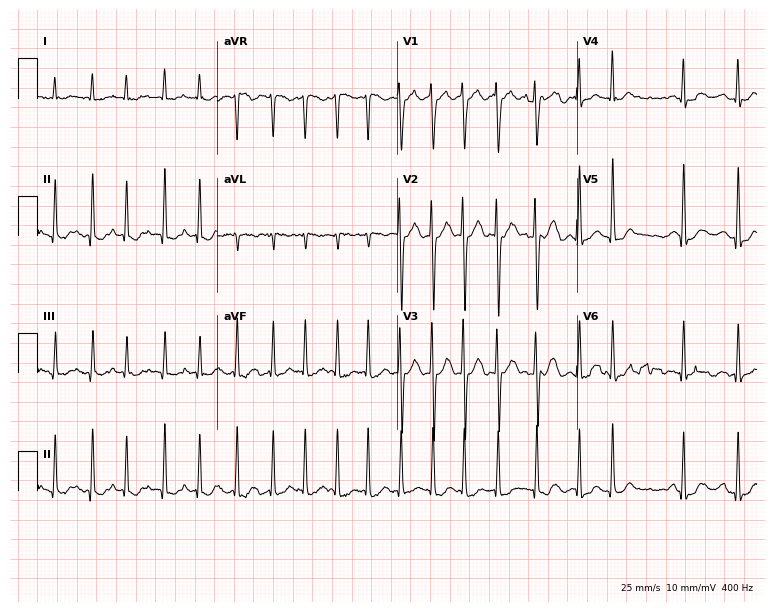
12-lead ECG (7.3-second recording at 400 Hz) from a 36-year-old female. Findings include atrial fibrillation (AF).